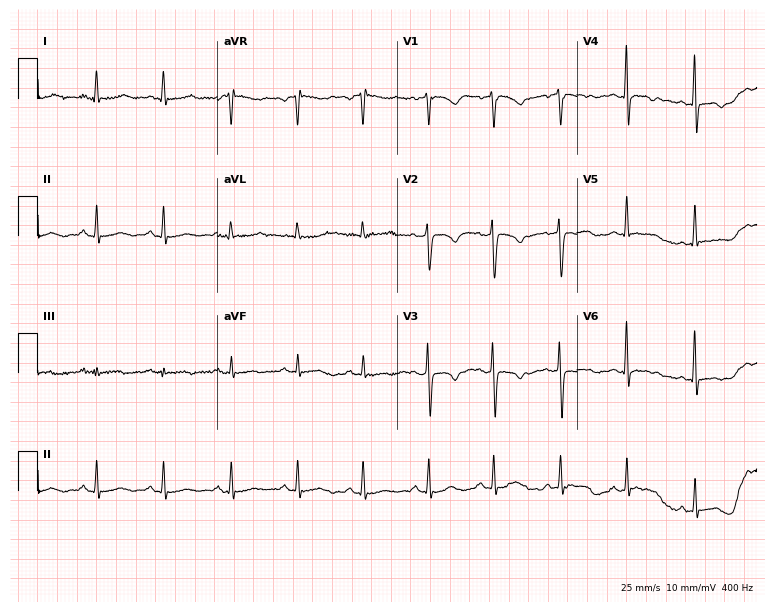
Resting 12-lead electrocardiogram. Patient: a 60-year-old female. Read as a normal ECG.